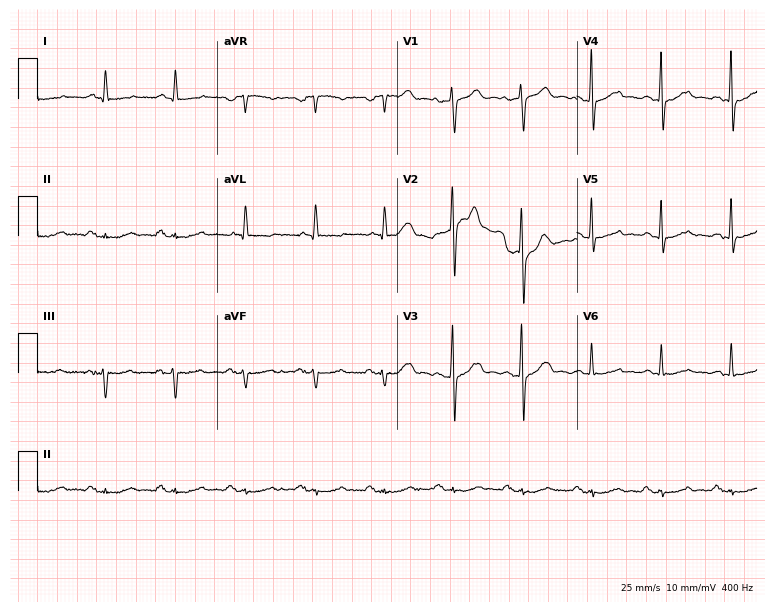
12-lead ECG from a man, 69 years old. Screened for six findings — first-degree AV block, right bundle branch block, left bundle branch block, sinus bradycardia, atrial fibrillation, sinus tachycardia — none is recorded. Findings outside these six are not listed.